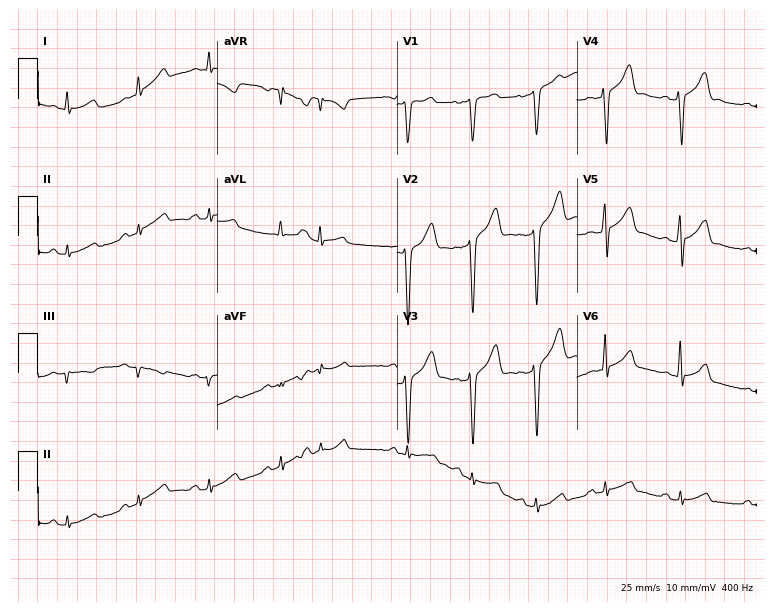
Resting 12-lead electrocardiogram (7.3-second recording at 400 Hz). Patient: a man, 33 years old. None of these six findings is recorded: first-degree AV block, right bundle branch block (RBBB), left bundle branch block (LBBB), sinus bradycardia, atrial fibrillation (AF), sinus tachycardia.